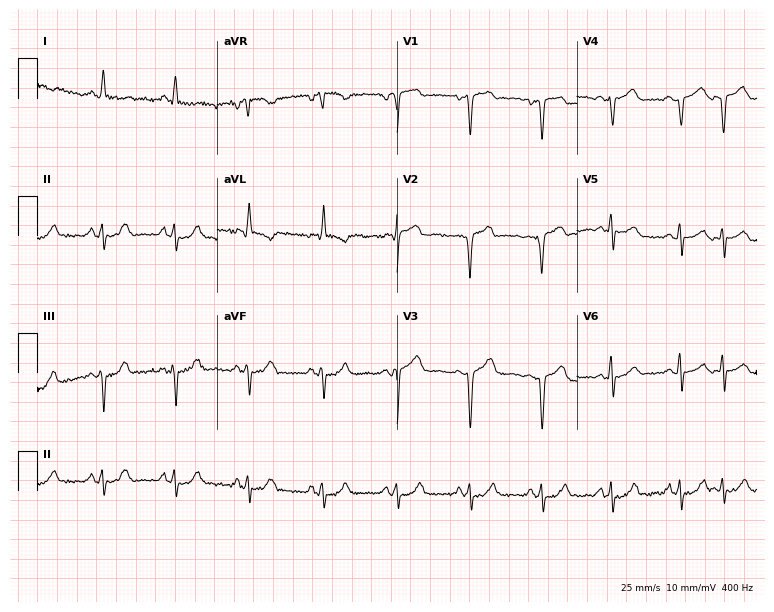
ECG (7.3-second recording at 400 Hz) — an 85-year-old male patient. Screened for six findings — first-degree AV block, right bundle branch block, left bundle branch block, sinus bradycardia, atrial fibrillation, sinus tachycardia — none is recorded. Other findings, if any, are not listed.